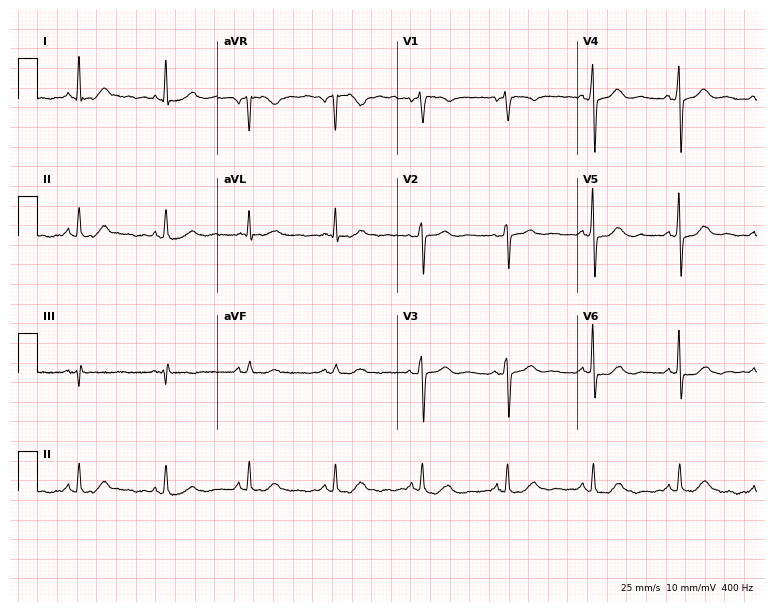
Standard 12-lead ECG recorded from a female, 63 years old. Read as a normal ECG.